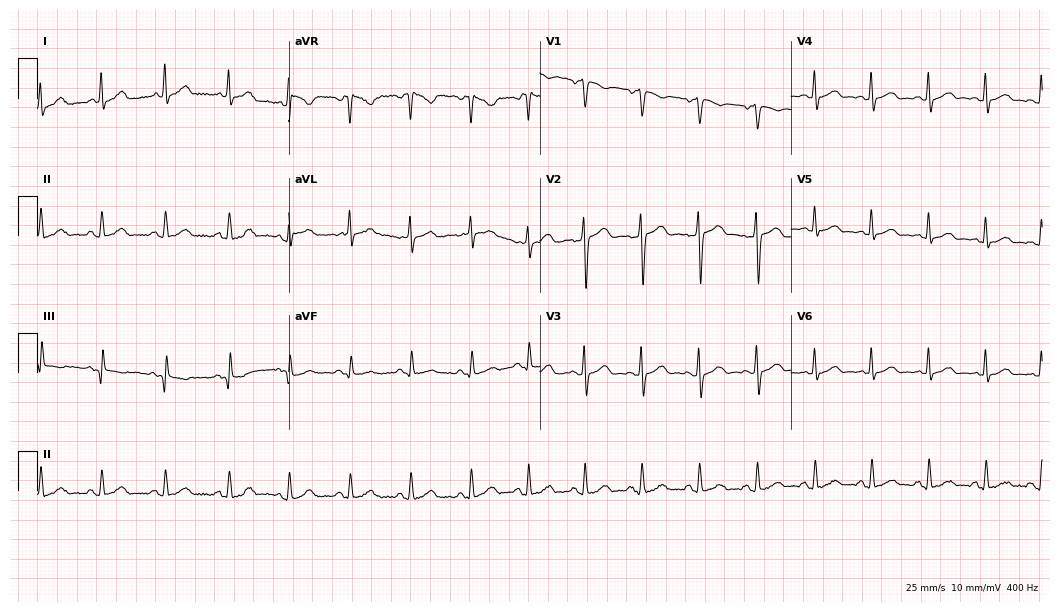
ECG — a 38-year-old female. Labelled as a normal ECG.